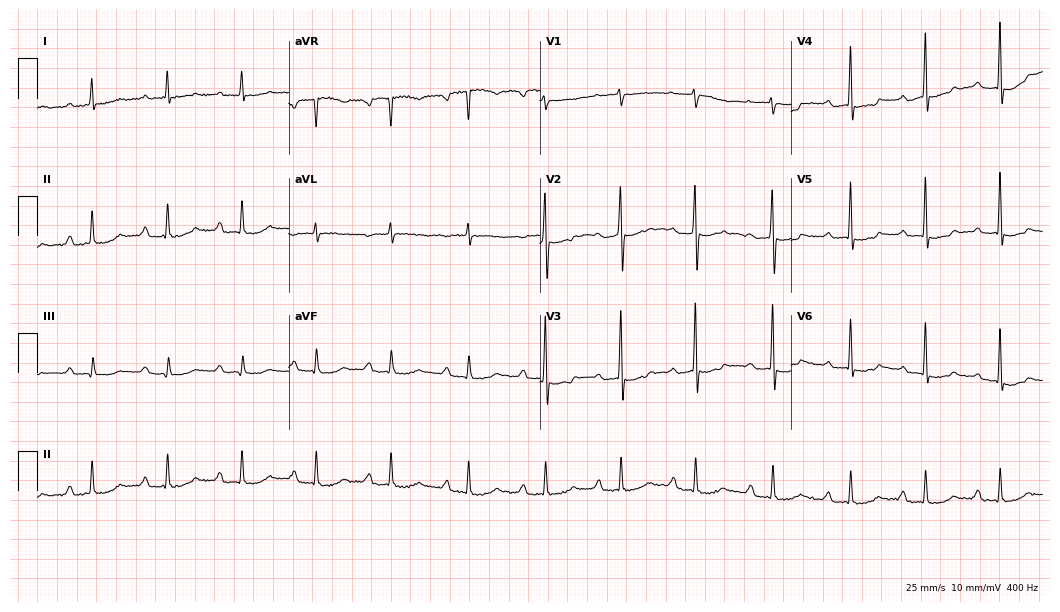
12-lead ECG from a female, 82 years old. Screened for six findings — first-degree AV block, right bundle branch block, left bundle branch block, sinus bradycardia, atrial fibrillation, sinus tachycardia — none is recorded.